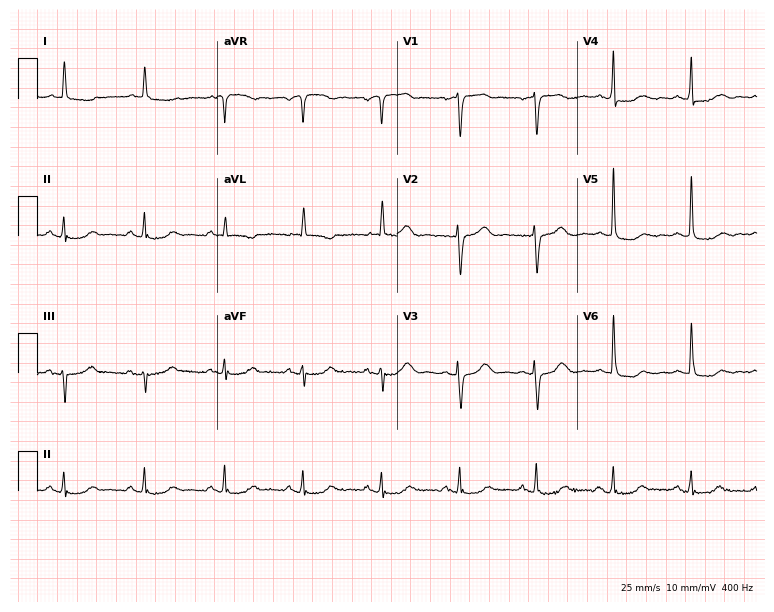
Resting 12-lead electrocardiogram. Patient: an 84-year-old female. None of these six findings is recorded: first-degree AV block, right bundle branch block, left bundle branch block, sinus bradycardia, atrial fibrillation, sinus tachycardia.